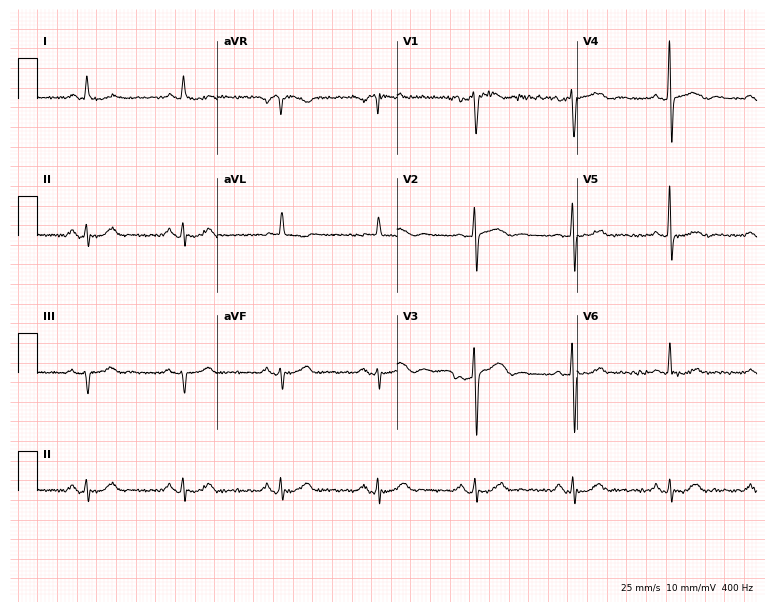
ECG (7.3-second recording at 400 Hz) — a 67-year-old male patient. Screened for six findings — first-degree AV block, right bundle branch block, left bundle branch block, sinus bradycardia, atrial fibrillation, sinus tachycardia — none is recorded. Findings outside these six are not listed.